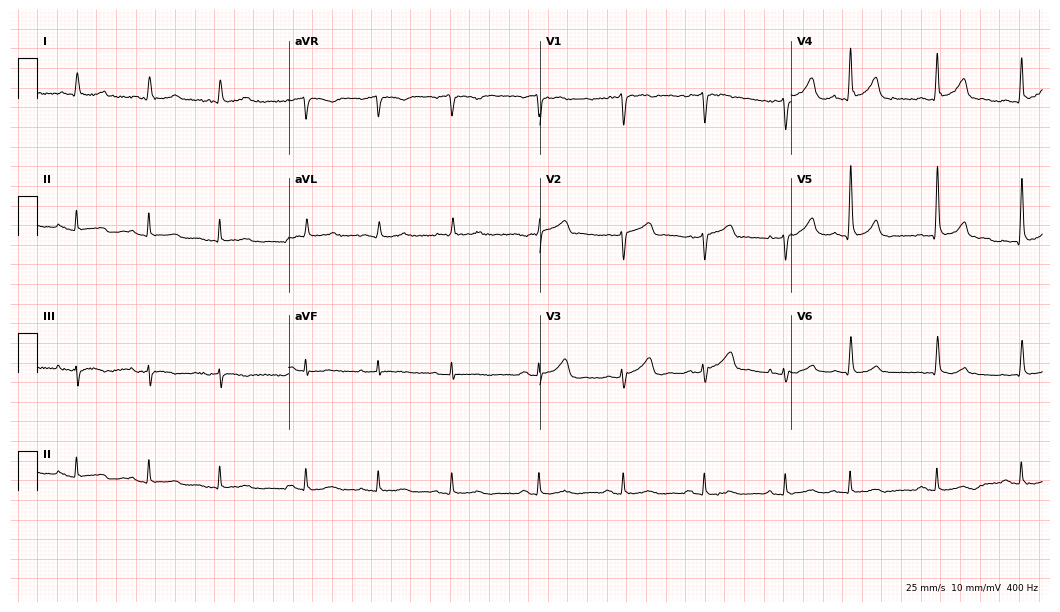
Resting 12-lead electrocardiogram (10.2-second recording at 400 Hz). Patient: an 85-year-old man. None of these six findings is recorded: first-degree AV block, right bundle branch block (RBBB), left bundle branch block (LBBB), sinus bradycardia, atrial fibrillation (AF), sinus tachycardia.